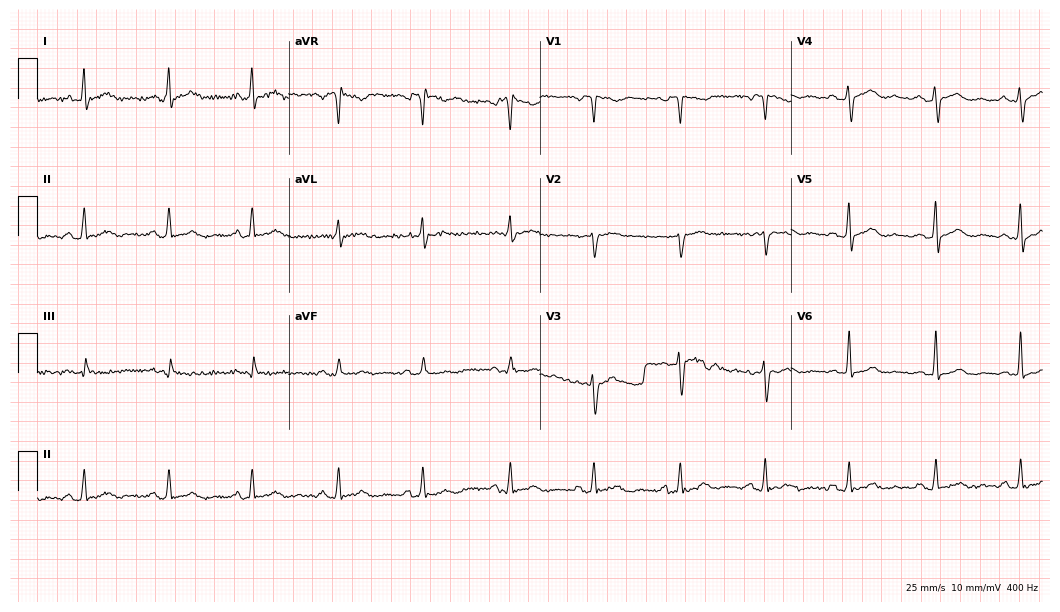
12-lead ECG (10.2-second recording at 400 Hz) from a woman, 36 years old. Labelled as a normal ECG.